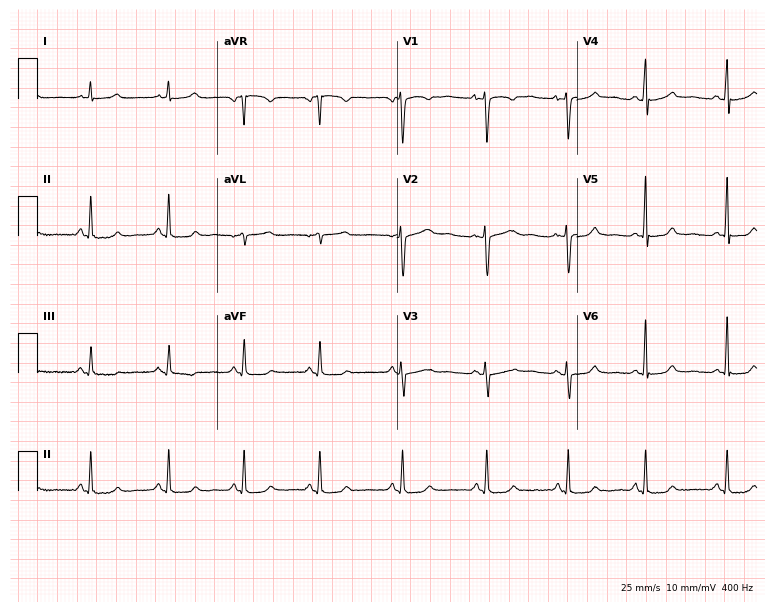
Electrocardiogram (7.3-second recording at 400 Hz), a female, 40 years old. Overall reading on record: normal ECG.